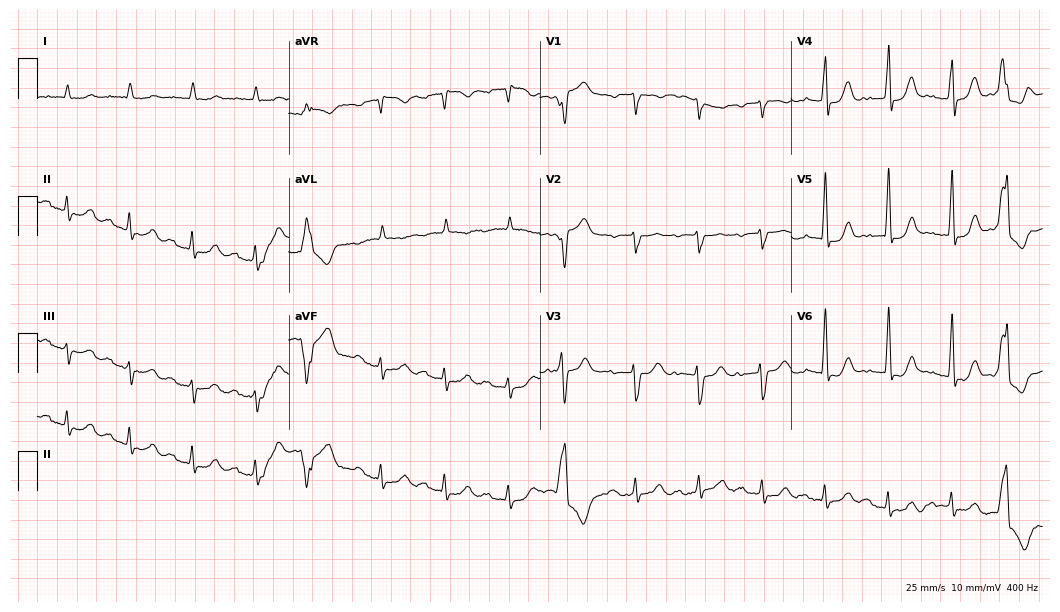
Electrocardiogram (10.2-second recording at 400 Hz), an 85-year-old man. Interpretation includes first-degree AV block.